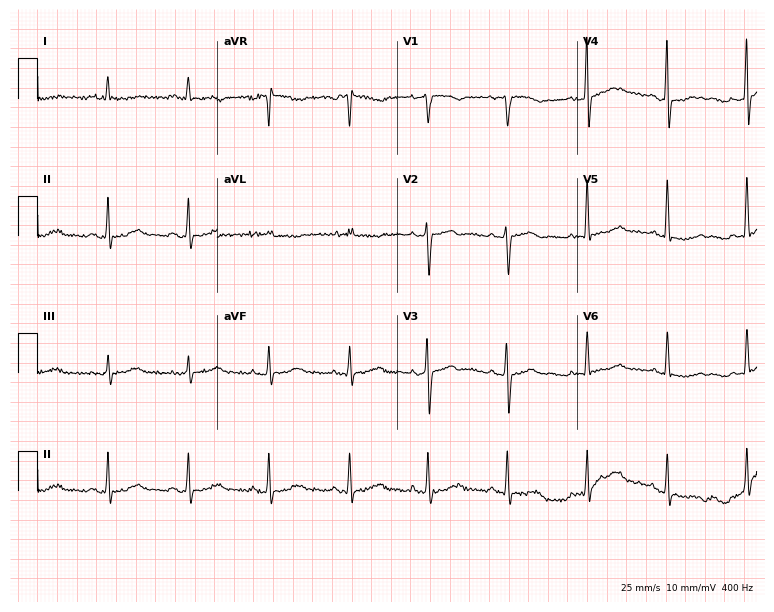
12-lead ECG from a 59-year-old female. Screened for six findings — first-degree AV block, right bundle branch block, left bundle branch block, sinus bradycardia, atrial fibrillation, sinus tachycardia — none is recorded.